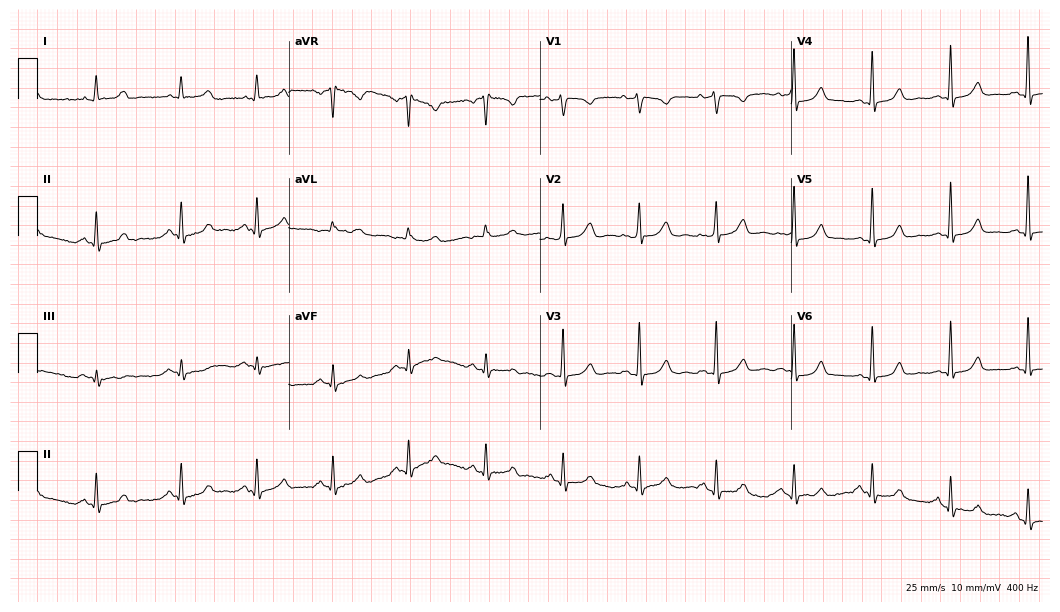
Resting 12-lead electrocardiogram (10.2-second recording at 400 Hz). Patient: a 53-year-old woman. None of these six findings is recorded: first-degree AV block, right bundle branch block (RBBB), left bundle branch block (LBBB), sinus bradycardia, atrial fibrillation (AF), sinus tachycardia. Other findings, if any, are not listed.